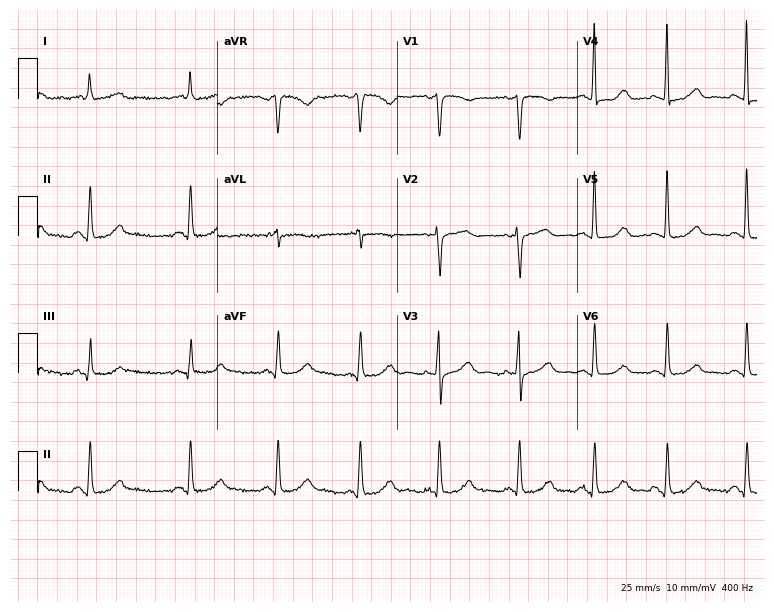
Electrocardiogram, a 66-year-old woman. Overall reading on record: normal ECG.